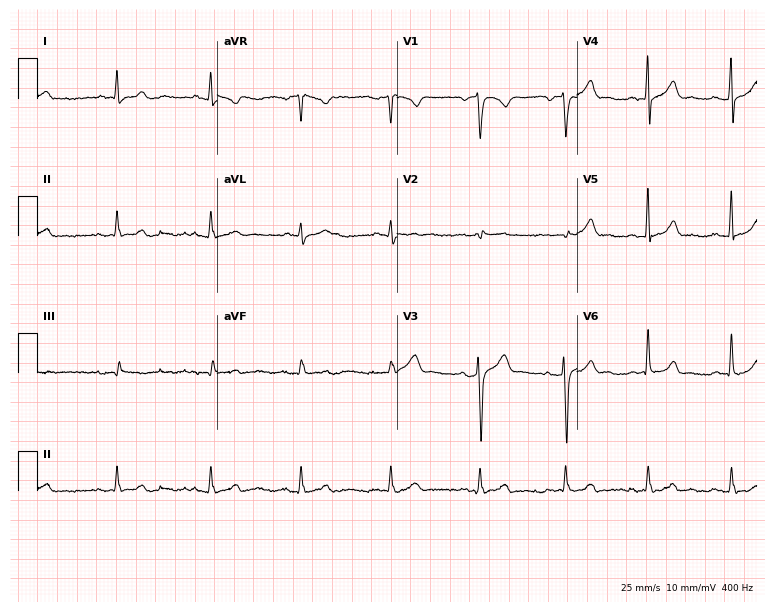
12-lead ECG (7.3-second recording at 400 Hz) from a 44-year-old male patient. Labelled as a normal ECG.